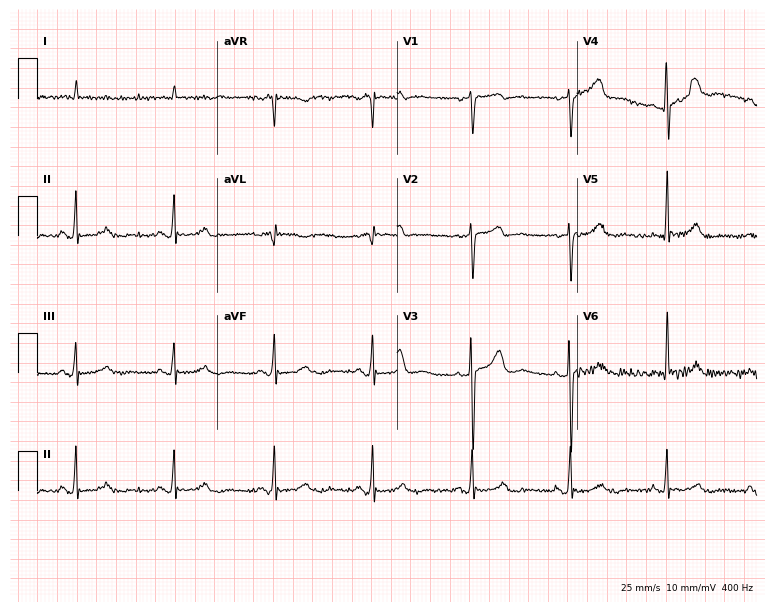
12-lead ECG from an 82-year-old man. No first-degree AV block, right bundle branch block, left bundle branch block, sinus bradycardia, atrial fibrillation or sinus tachycardia recorded for this tracing. Findings outside these six are not listed.